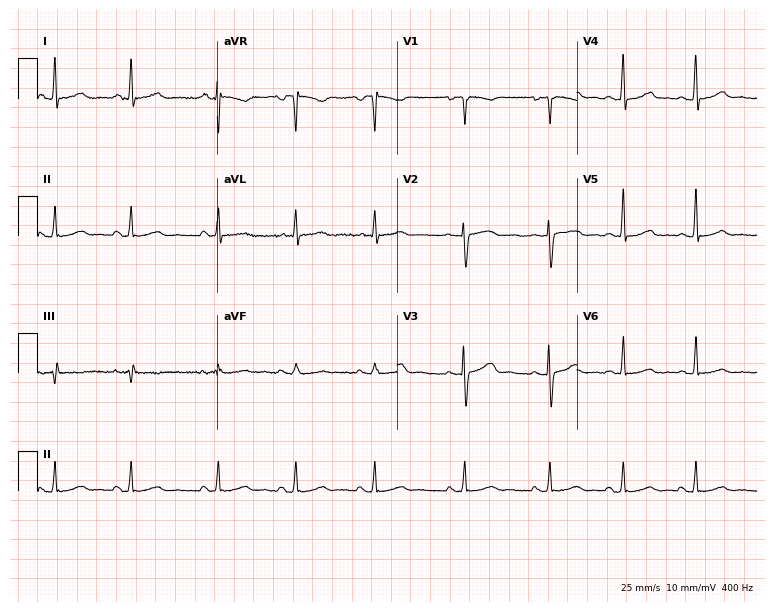
Resting 12-lead electrocardiogram (7.3-second recording at 400 Hz). Patient: a 26-year-old female. None of these six findings is recorded: first-degree AV block, right bundle branch block, left bundle branch block, sinus bradycardia, atrial fibrillation, sinus tachycardia.